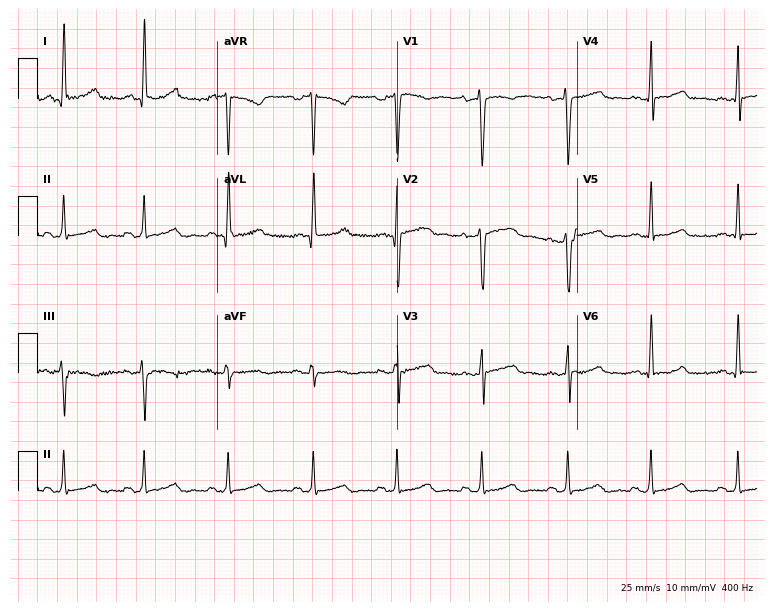
ECG (7.3-second recording at 400 Hz) — a female patient, 34 years old. Labelled as a normal ECG.